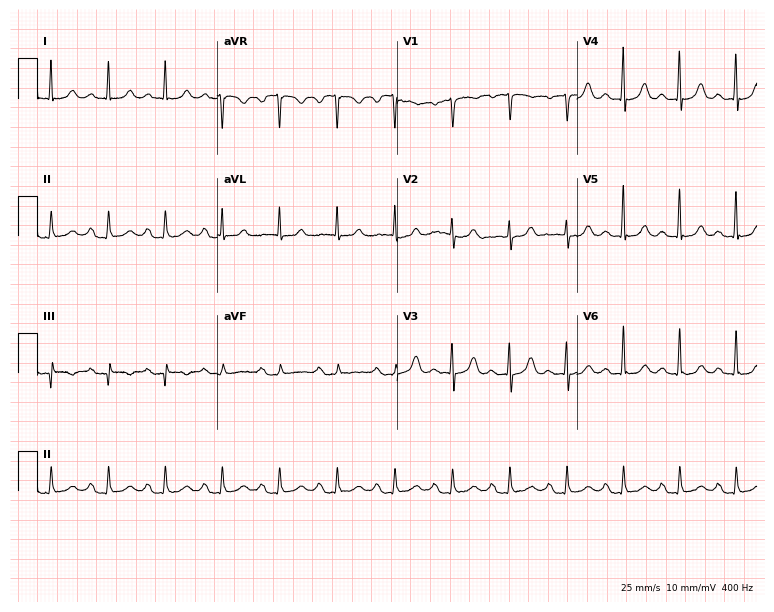
Resting 12-lead electrocardiogram. Patient: a 56-year-old female. The tracing shows sinus tachycardia (a sinus rate of 100 beats per minute or more).